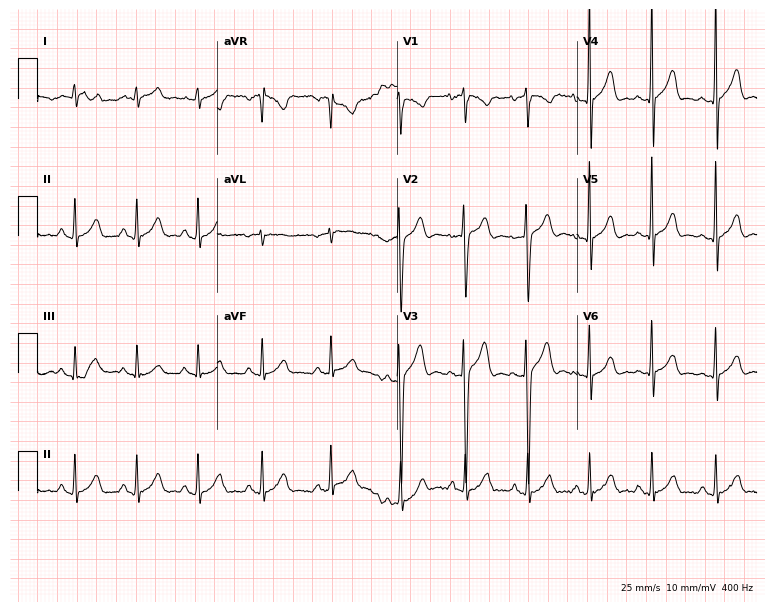
Resting 12-lead electrocardiogram (7.3-second recording at 400 Hz). Patient: a male, 23 years old. Read as a normal ECG.